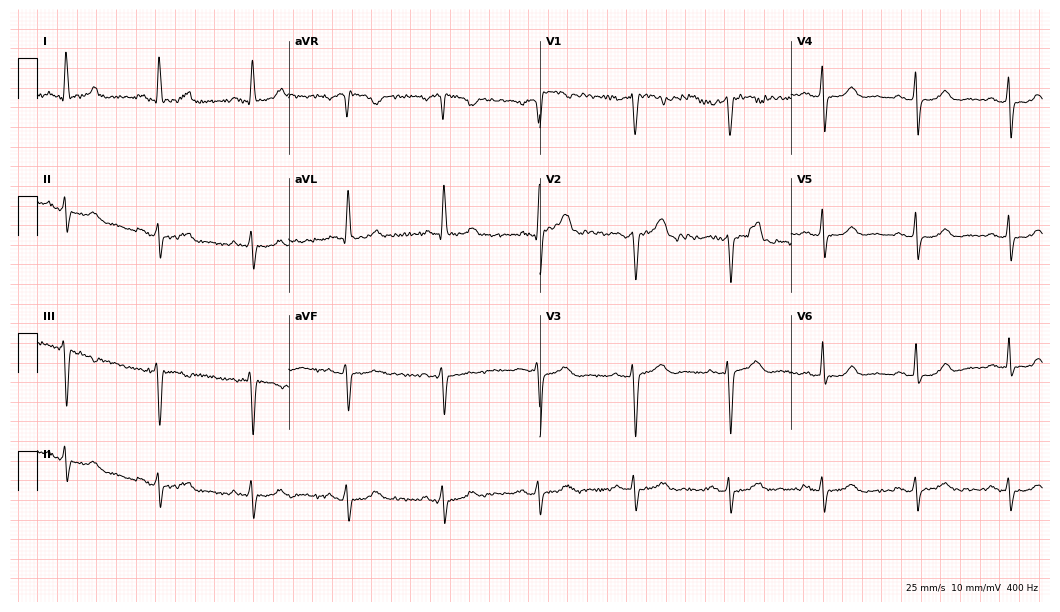
12-lead ECG from a 59-year-old female. Screened for six findings — first-degree AV block, right bundle branch block, left bundle branch block, sinus bradycardia, atrial fibrillation, sinus tachycardia — none is recorded. Other findings, if any, are not listed.